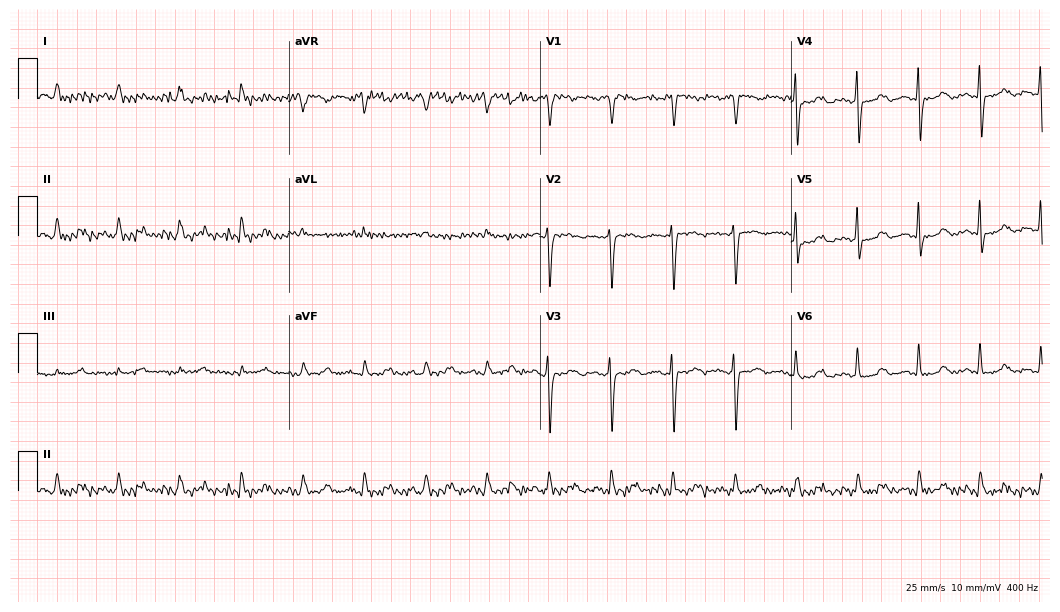
Resting 12-lead electrocardiogram. Patient: an 81-year-old woman. None of these six findings is recorded: first-degree AV block, right bundle branch block, left bundle branch block, sinus bradycardia, atrial fibrillation, sinus tachycardia. Other findings, if any, are not listed.